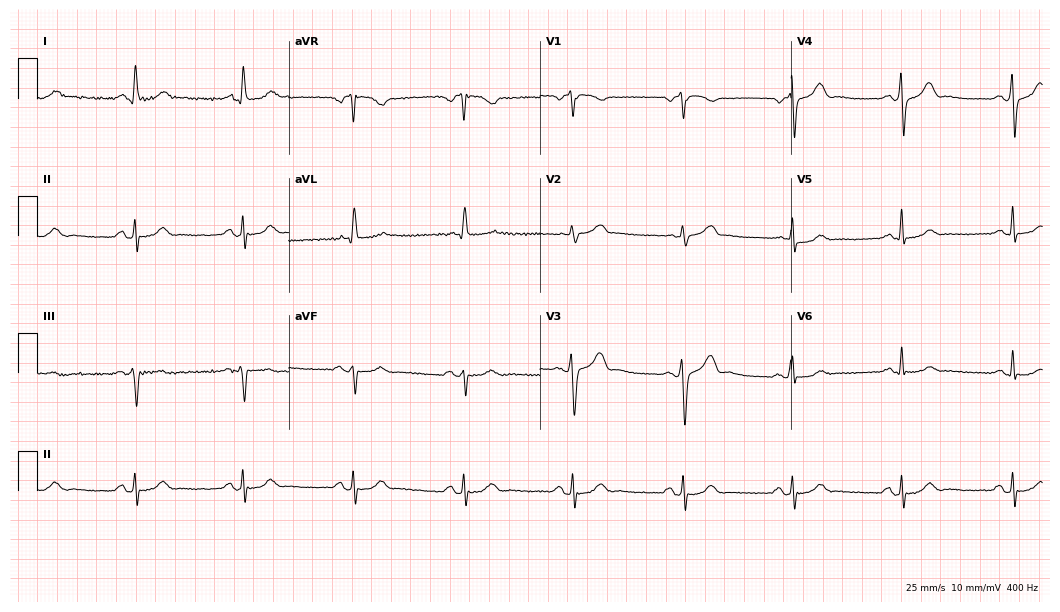
ECG (10.2-second recording at 400 Hz) — a 72-year-old woman. Screened for six findings — first-degree AV block, right bundle branch block, left bundle branch block, sinus bradycardia, atrial fibrillation, sinus tachycardia — none is recorded.